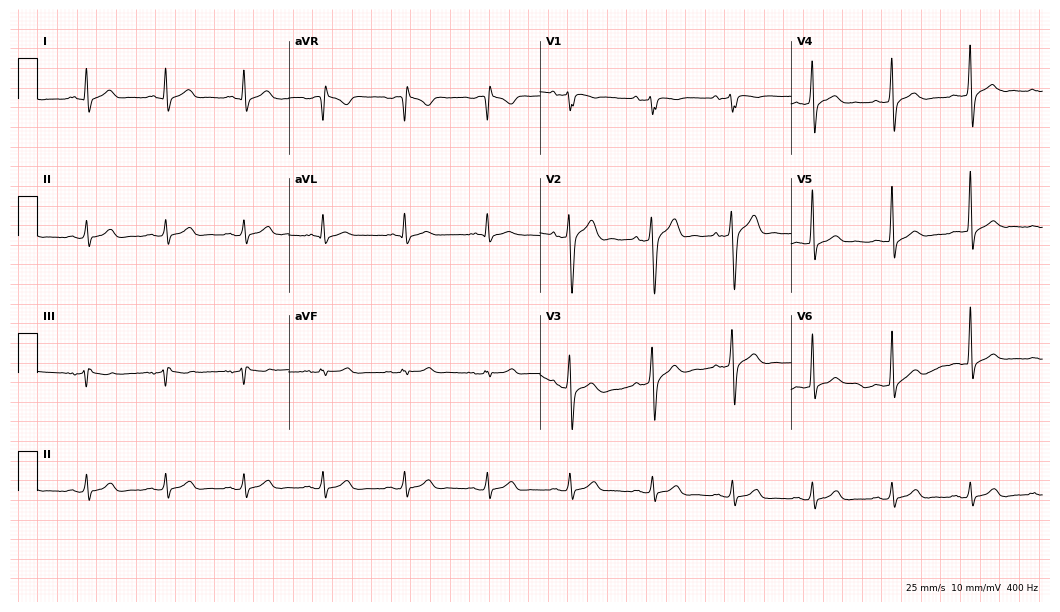
12-lead ECG from a male, 29 years old (10.2-second recording at 400 Hz). No first-degree AV block, right bundle branch block, left bundle branch block, sinus bradycardia, atrial fibrillation or sinus tachycardia recorded for this tracing.